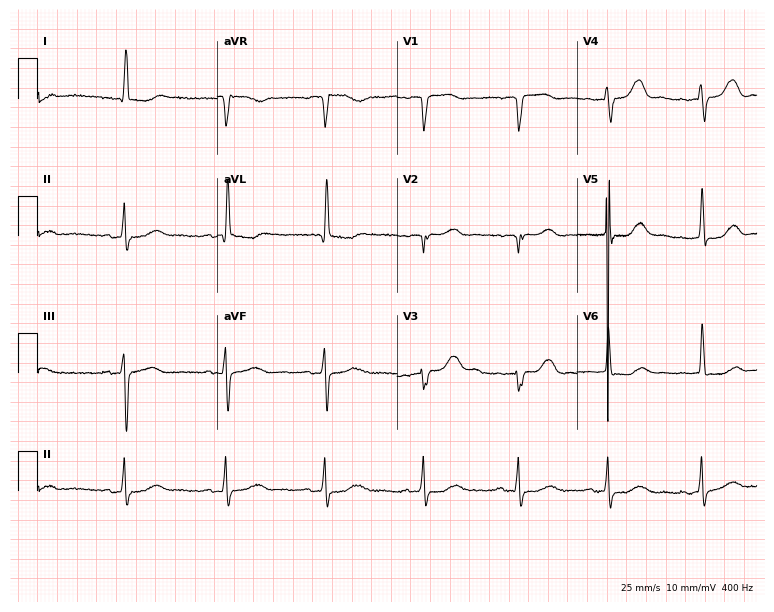
ECG (7.3-second recording at 400 Hz) — a female, 84 years old. Screened for six findings — first-degree AV block, right bundle branch block, left bundle branch block, sinus bradycardia, atrial fibrillation, sinus tachycardia — none is recorded.